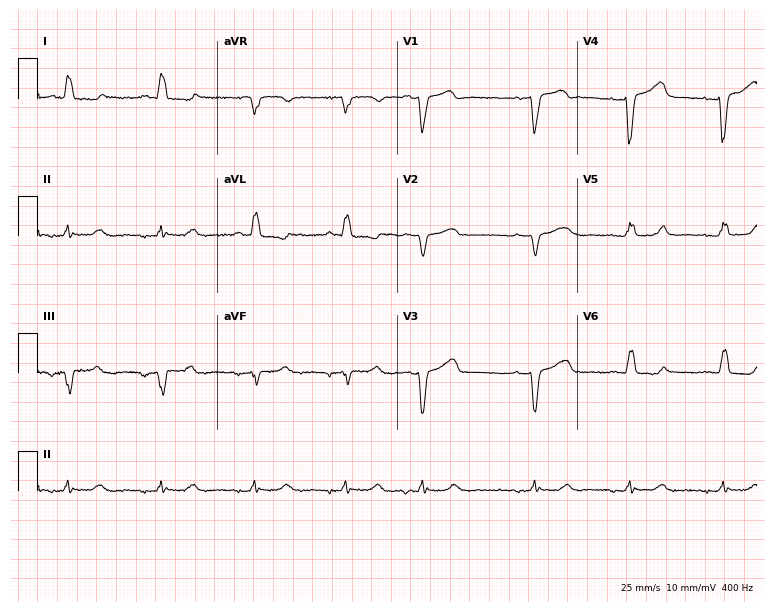
12-lead ECG from a 77-year-old woman (7.3-second recording at 400 Hz). No first-degree AV block, right bundle branch block (RBBB), left bundle branch block (LBBB), sinus bradycardia, atrial fibrillation (AF) or sinus tachycardia recorded for this tracing.